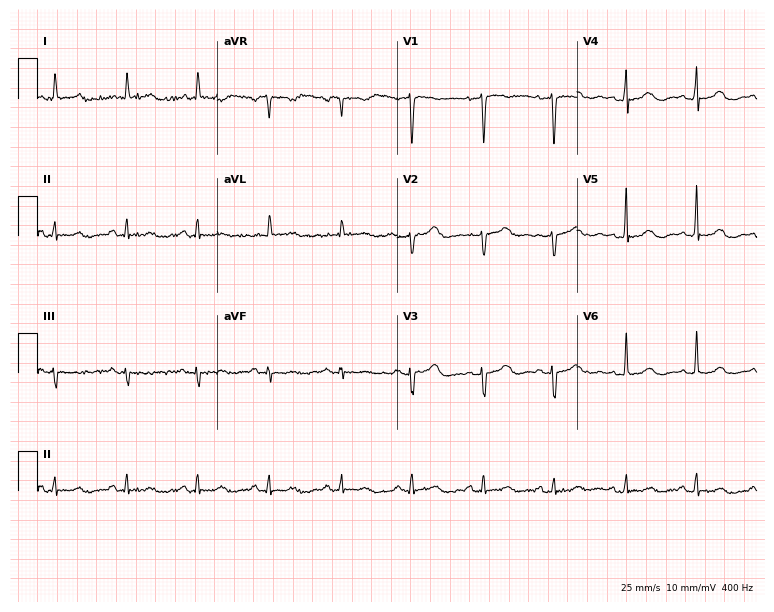
12-lead ECG from a female, 78 years old. Recorded interpretation: within normal limits.